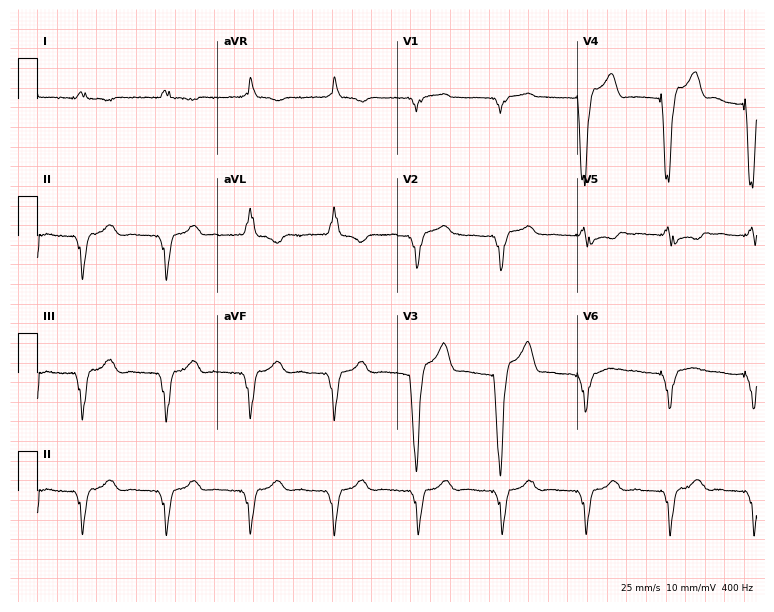
12-lead ECG from a 61-year-old female patient (7.3-second recording at 400 Hz). No first-degree AV block, right bundle branch block, left bundle branch block, sinus bradycardia, atrial fibrillation or sinus tachycardia recorded for this tracing.